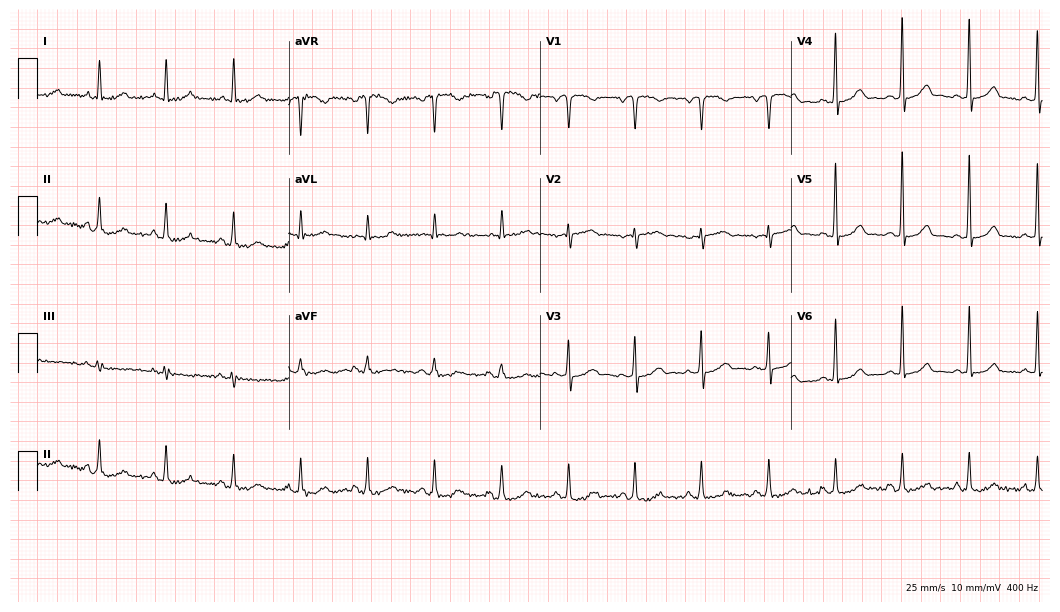
Standard 12-lead ECG recorded from a female, 59 years old (10.2-second recording at 400 Hz). Read as a normal ECG.